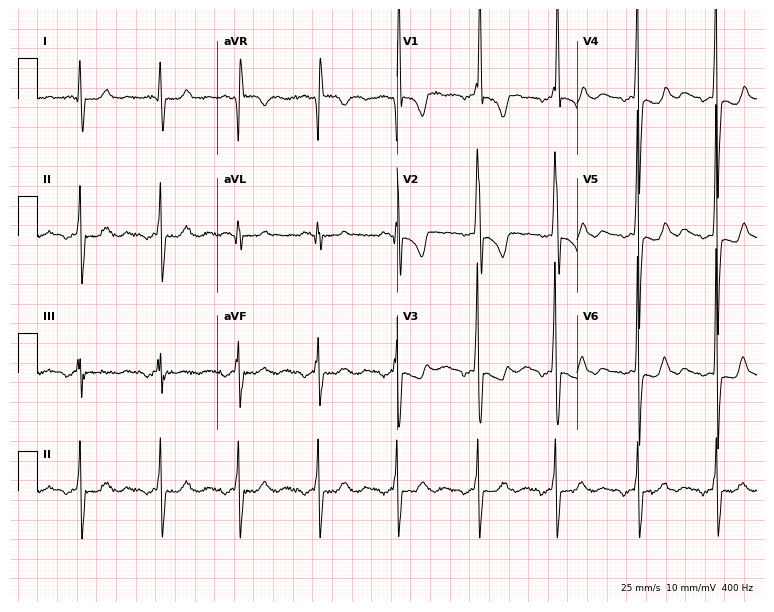
12-lead ECG from a female, 31 years old. No first-degree AV block, right bundle branch block, left bundle branch block, sinus bradycardia, atrial fibrillation or sinus tachycardia recorded for this tracing.